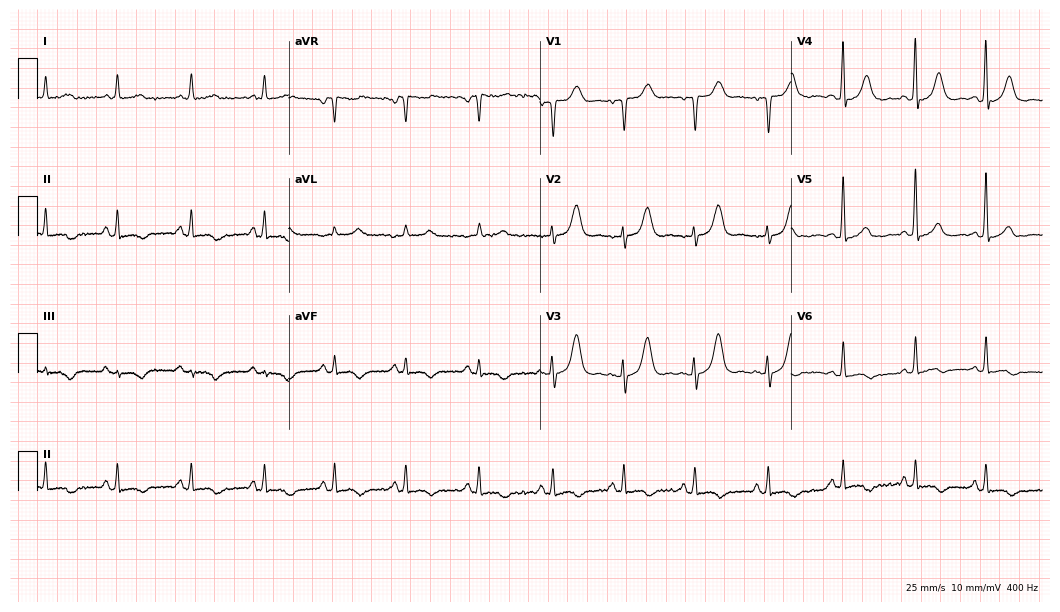
12-lead ECG (10.2-second recording at 400 Hz) from a 77-year-old woman. Screened for six findings — first-degree AV block, right bundle branch block, left bundle branch block, sinus bradycardia, atrial fibrillation, sinus tachycardia — none is recorded.